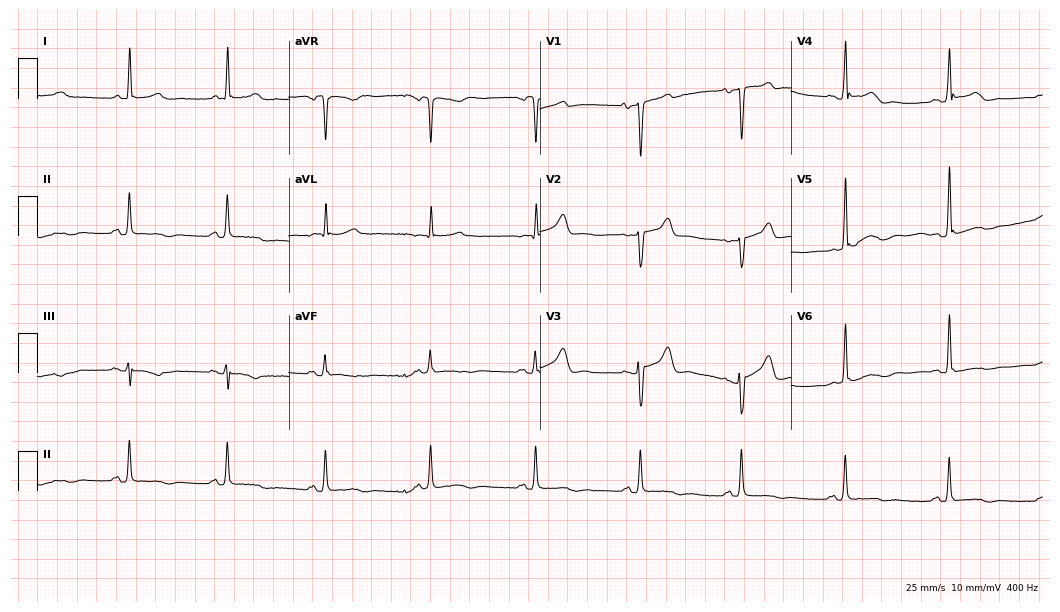
ECG — a man, 71 years old. Screened for six findings — first-degree AV block, right bundle branch block, left bundle branch block, sinus bradycardia, atrial fibrillation, sinus tachycardia — none is recorded.